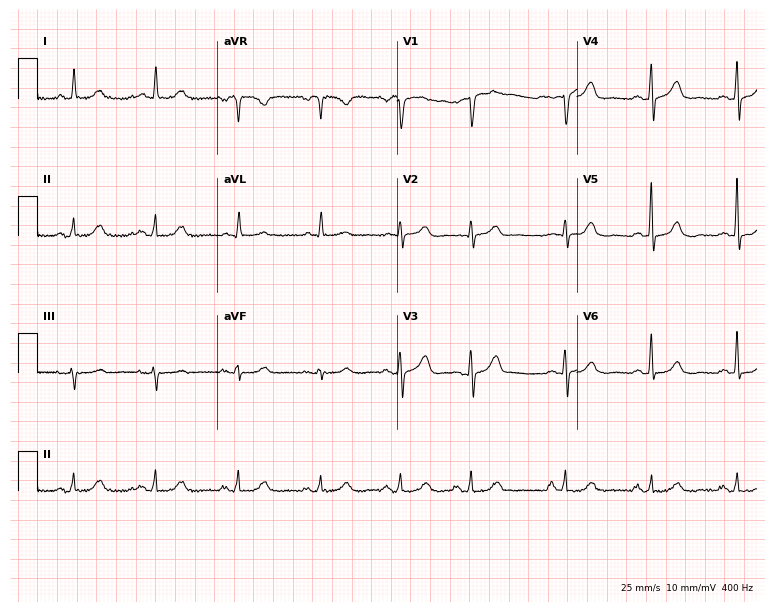
12-lead ECG (7.3-second recording at 400 Hz) from a female, 81 years old. Labelled as a normal ECG.